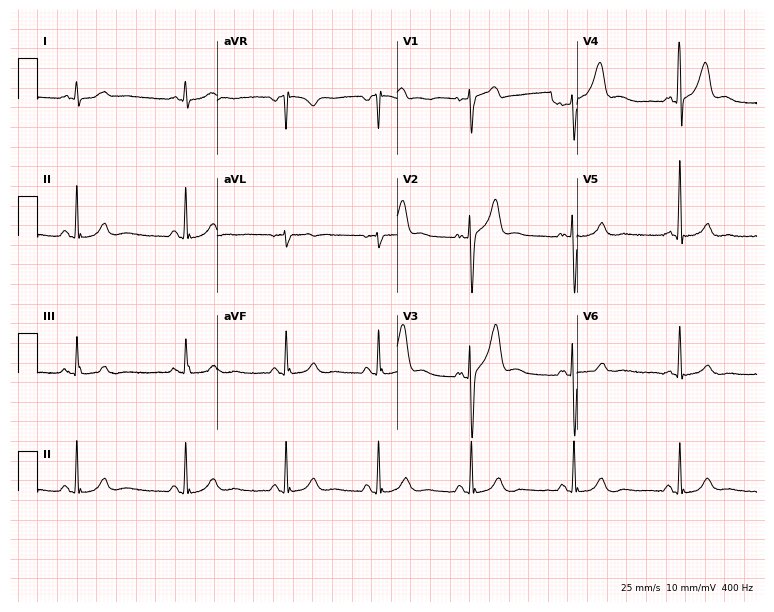
Resting 12-lead electrocardiogram. Patient: a 56-year-old male. None of these six findings is recorded: first-degree AV block, right bundle branch block, left bundle branch block, sinus bradycardia, atrial fibrillation, sinus tachycardia. Only these six findings were labelled.